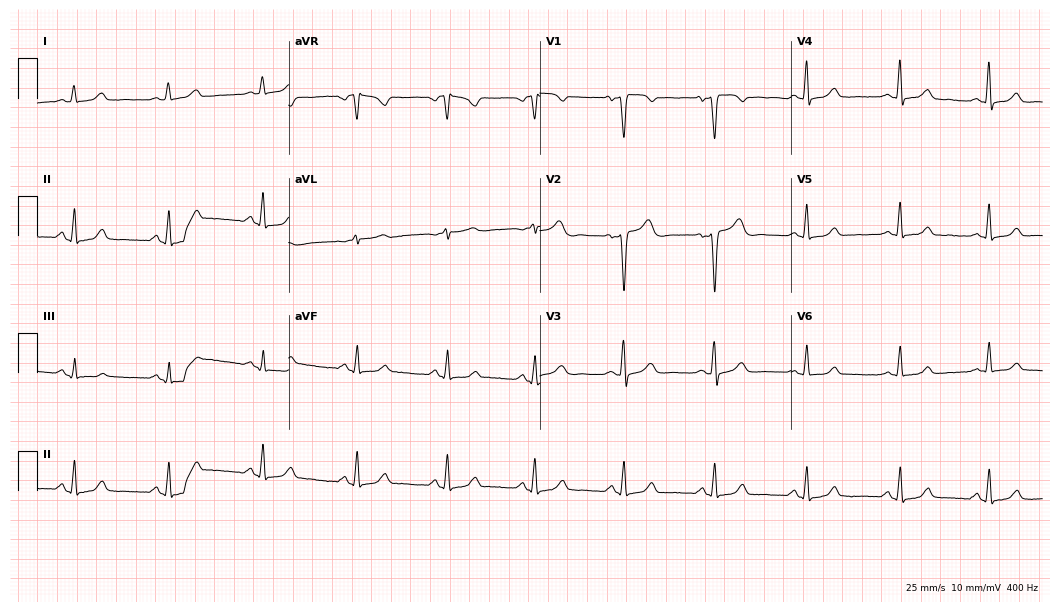
Standard 12-lead ECG recorded from a 50-year-old female. Read as a normal ECG.